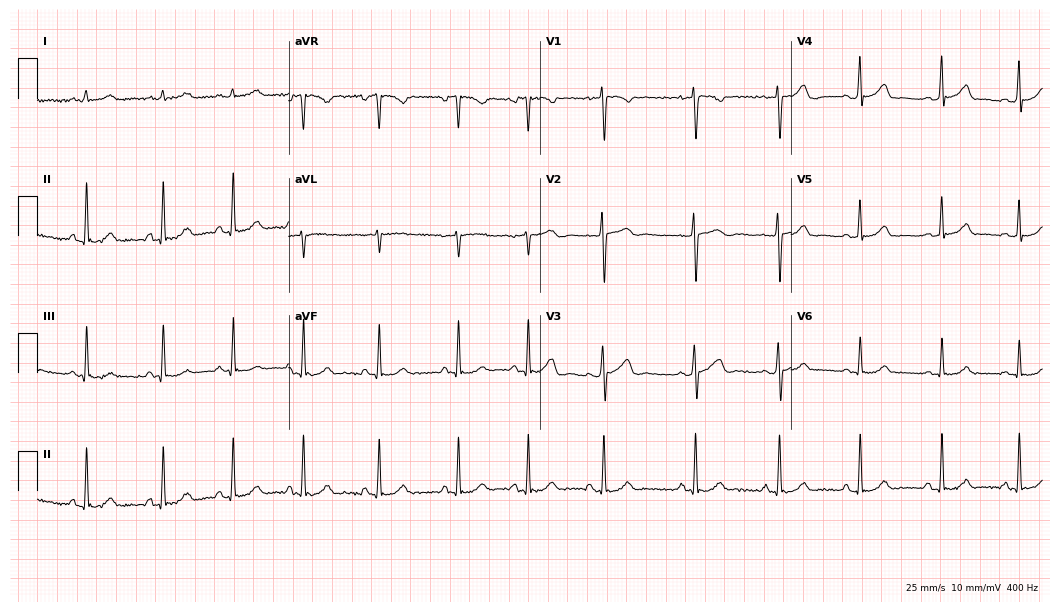
12-lead ECG from a female, 17 years old. Labelled as a normal ECG.